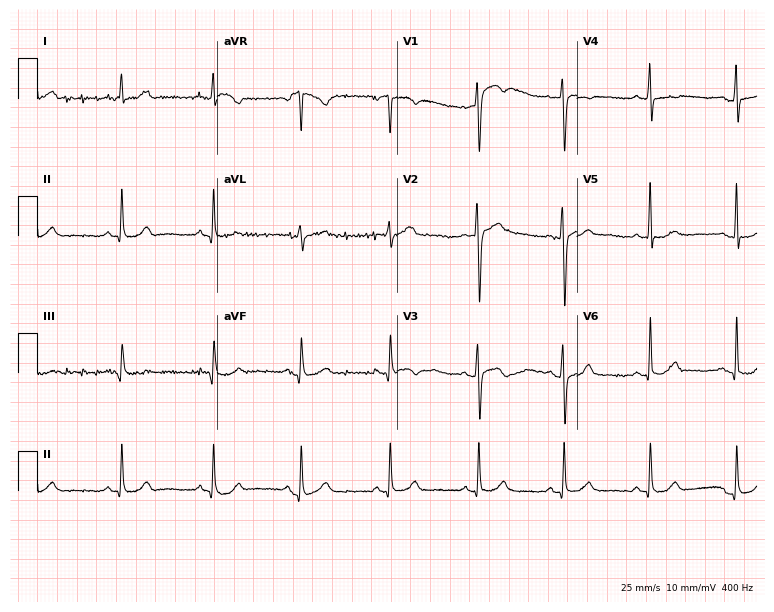
12-lead ECG from a 44-year-old male. No first-degree AV block, right bundle branch block, left bundle branch block, sinus bradycardia, atrial fibrillation or sinus tachycardia recorded for this tracing. Findings outside these six are not listed.